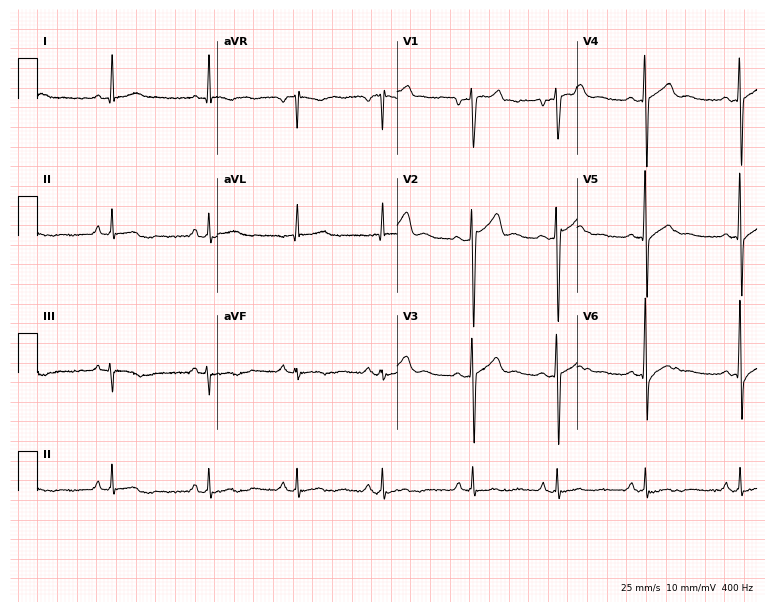
ECG (7.3-second recording at 400 Hz) — a male, 22 years old. Labelled as a normal ECG.